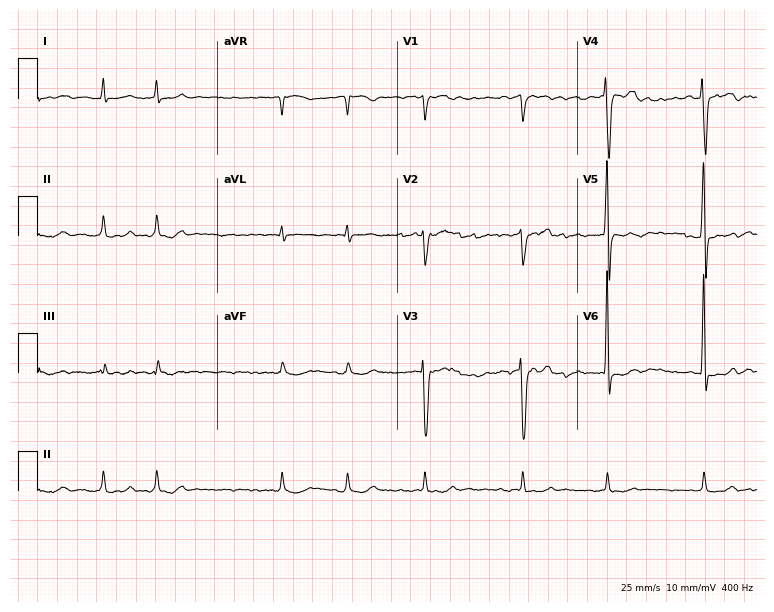
Standard 12-lead ECG recorded from a male patient, 58 years old. The tracing shows atrial fibrillation.